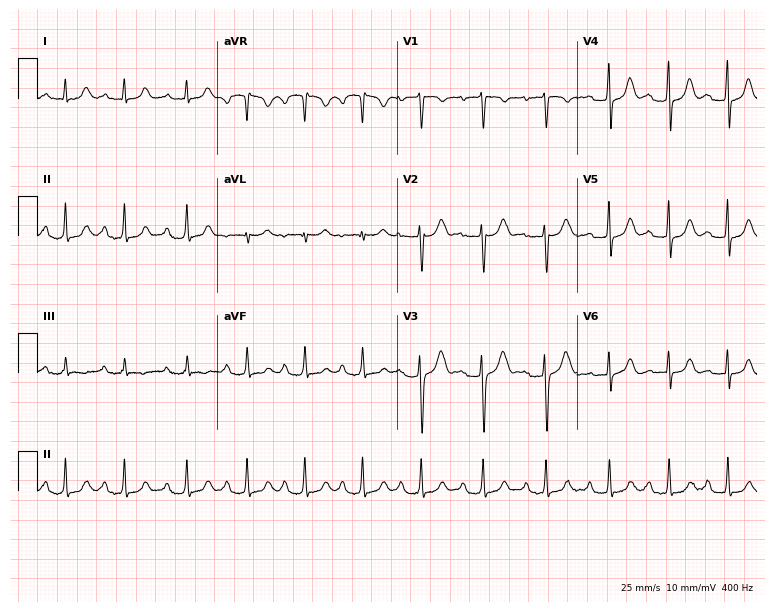
Electrocardiogram, a 22-year-old female. Interpretation includes first-degree AV block.